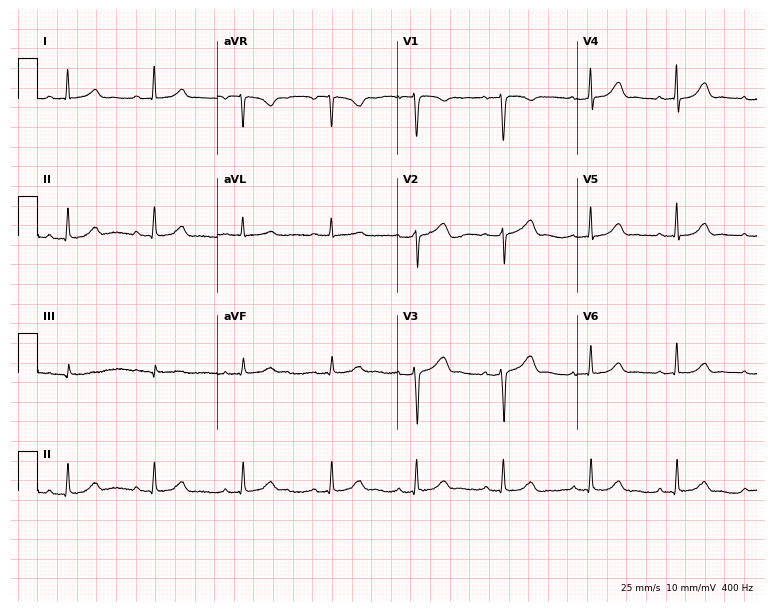
Electrocardiogram, a 42-year-old woman. Overall reading on record: normal ECG.